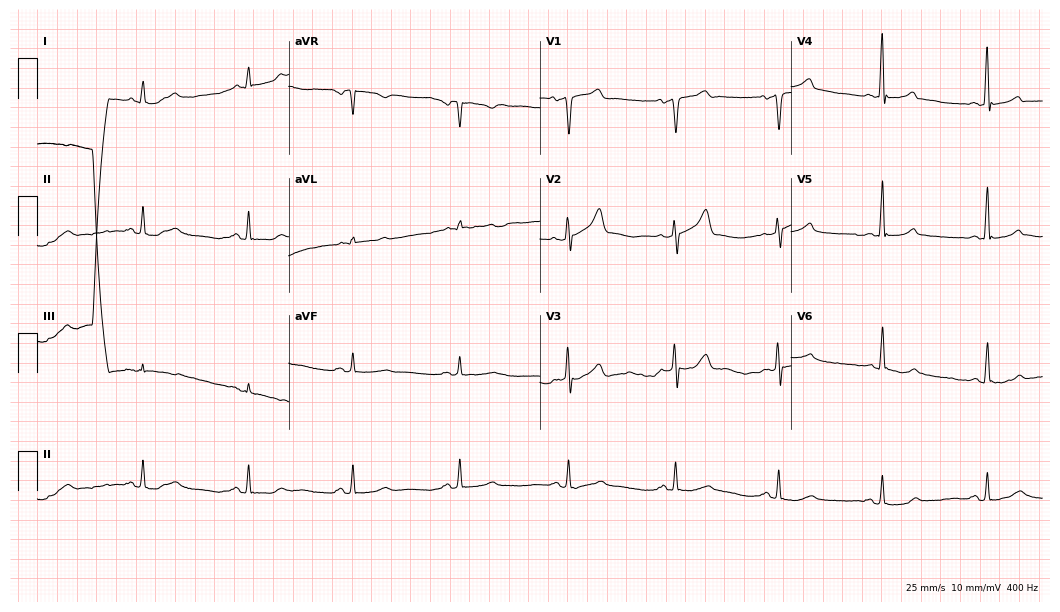
Standard 12-lead ECG recorded from a male patient, 50 years old. Read as a normal ECG.